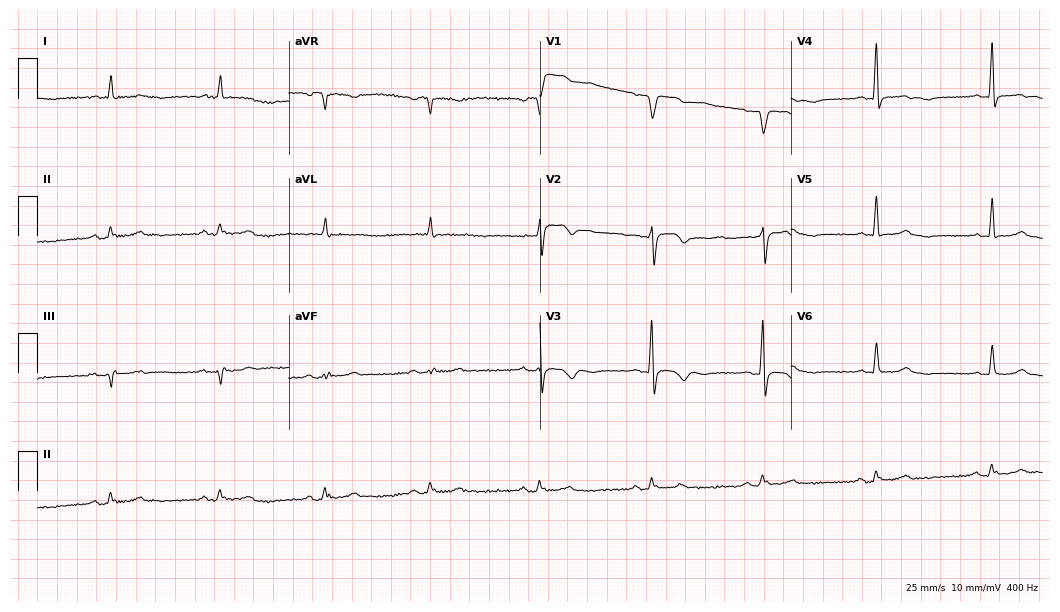
Electrocardiogram, a 64-year-old man. Of the six screened findings (first-degree AV block, right bundle branch block (RBBB), left bundle branch block (LBBB), sinus bradycardia, atrial fibrillation (AF), sinus tachycardia), none is recorded. Other findings, if any, are not listed.